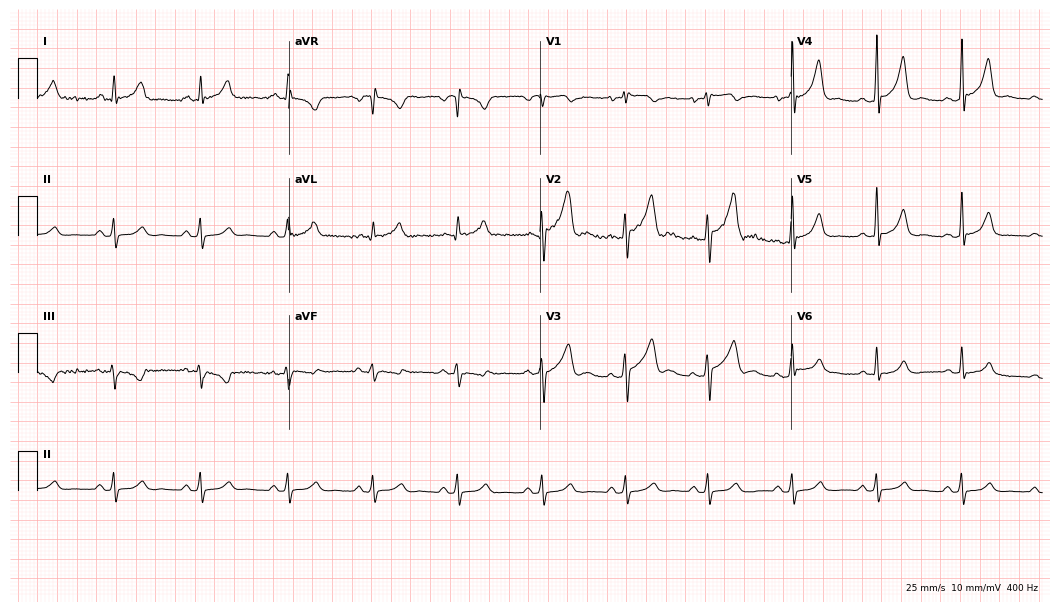
Standard 12-lead ECG recorded from a 40-year-old male patient. Read as a normal ECG.